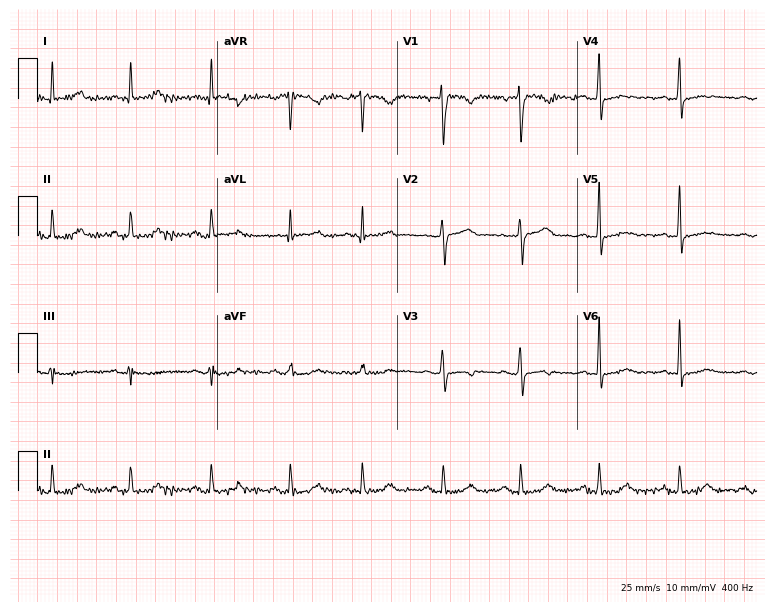
ECG (7.3-second recording at 400 Hz) — a female patient, 38 years old. Labelled as a normal ECG.